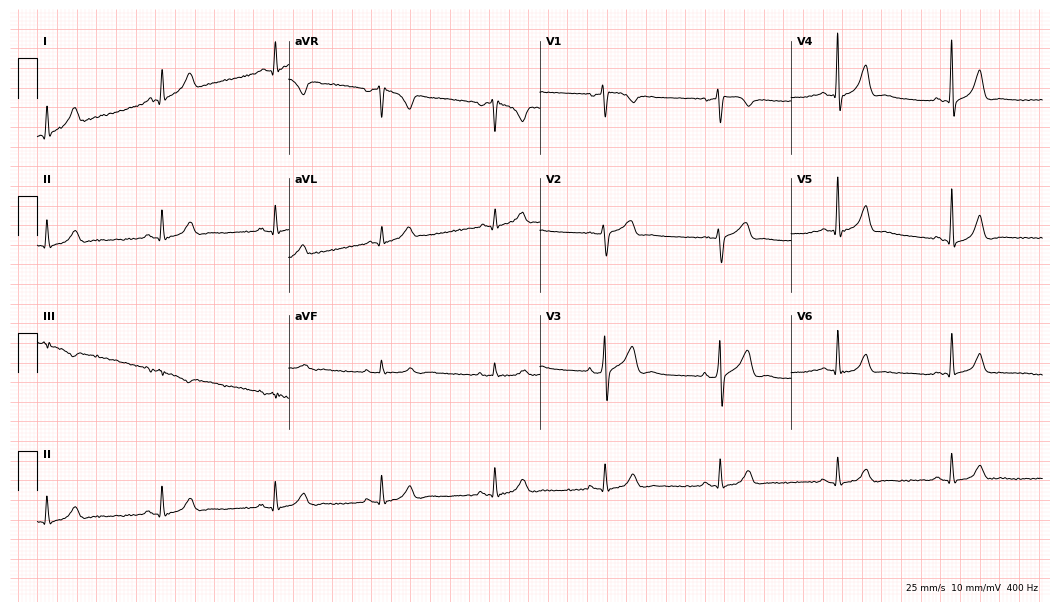
12-lead ECG from a 51-year-old male patient. Recorded interpretation: within normal limits.